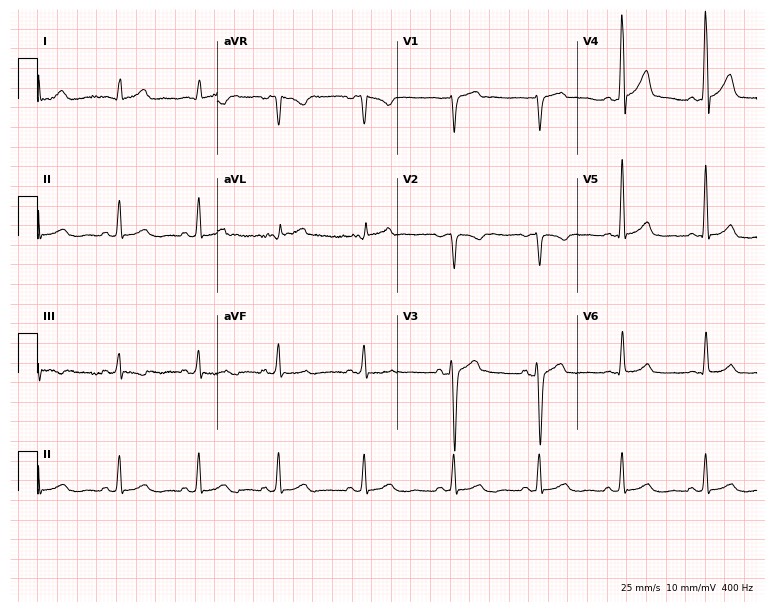
Electrocardiogram, a 48-year-old male patient. Overall reading on record: normal ECG.